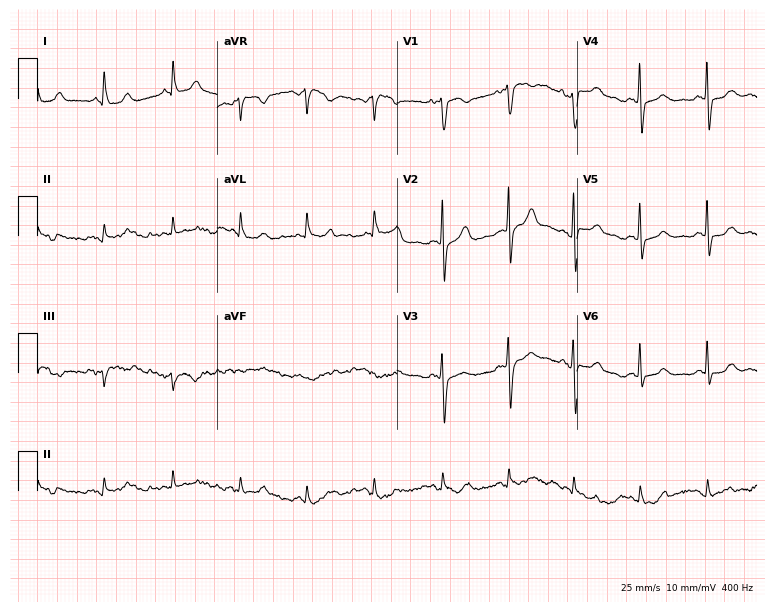
12-lead ECG from a female patient, 49 years old. Recorded interpretation: within normal limits.